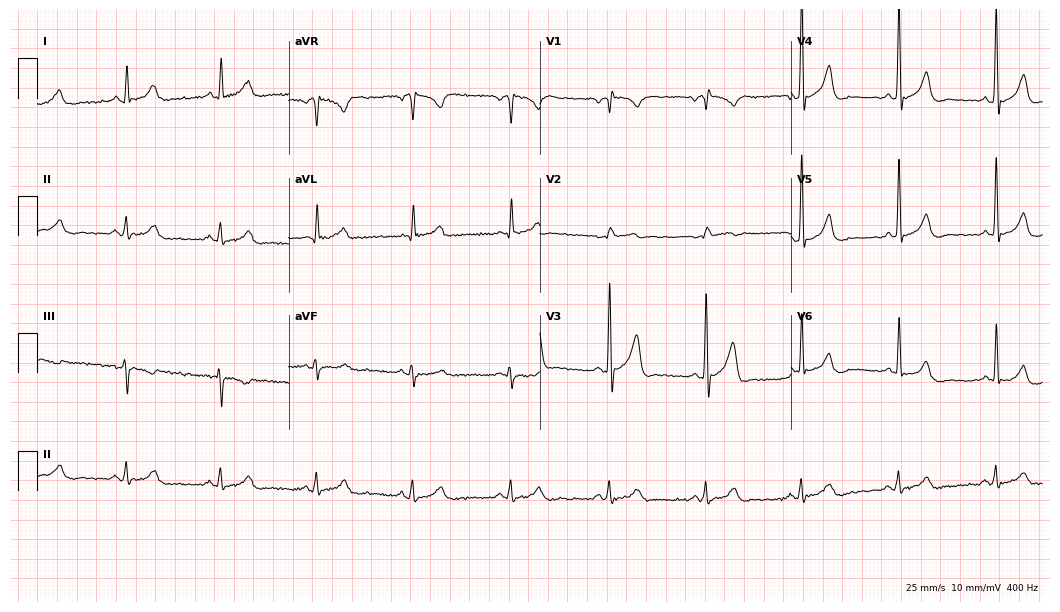
Electrocardiogram, a 59-year-old female patient. Of the six screened findings (first-degree AV block, right bundle branch block, left bundle branch block, sinus bradycardia, atrial fibrillation, sinus tachycardia), none is recorded. Other findings, if any, are not listed.